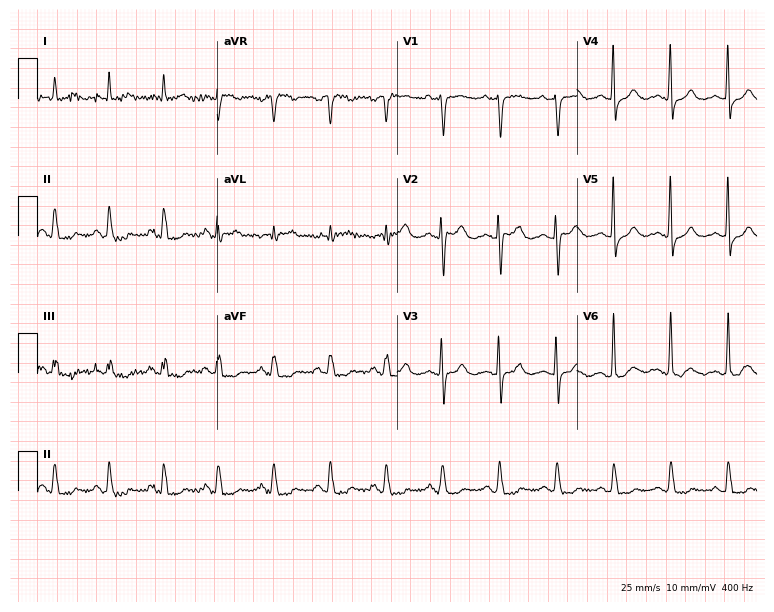
Standard 12-lead ECG recorded from a 56-year-old female (7.3-second recording at 400 Hz). The tracing shows sinus tachycardia (a sinus rate of 100 beats per minute or more).